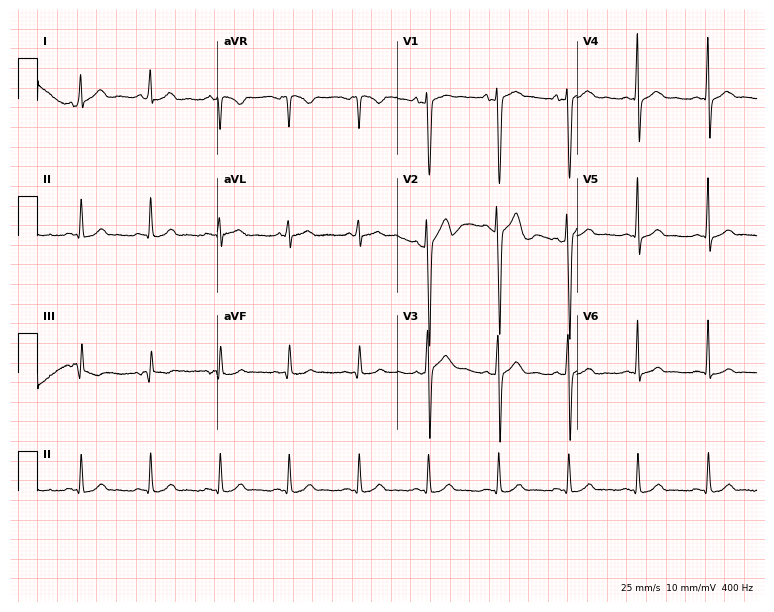
ECG (7.3-second recording at 400 Hz) — a 32-year-old male patient. Screened for six findings — first-degree AV block, right bundle branch block, left bundle branch block, sinus bradycardia, atrial fibrillation, sinus tachycardia — none is recorded. Other findings, if any, are not listed.